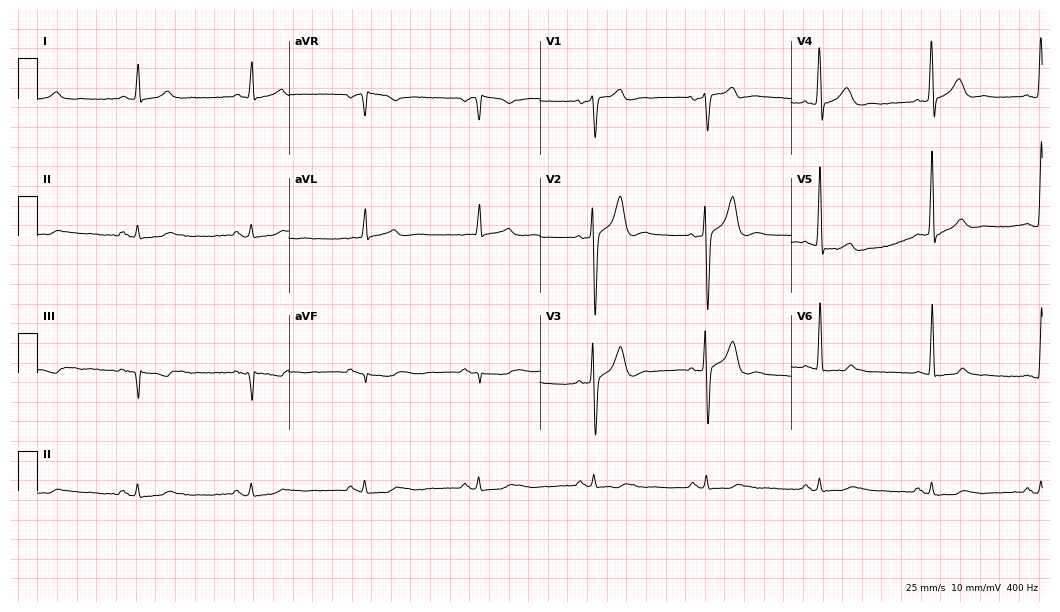
ECG — a man, 44 years old. Screened for six findings — first-degree AV block, right bundle branch block, left bundle branch block, sinus bradycardia, atrial fibrillation, sinus tachycardia — none is recorded. Other findings, if any, are not listed.